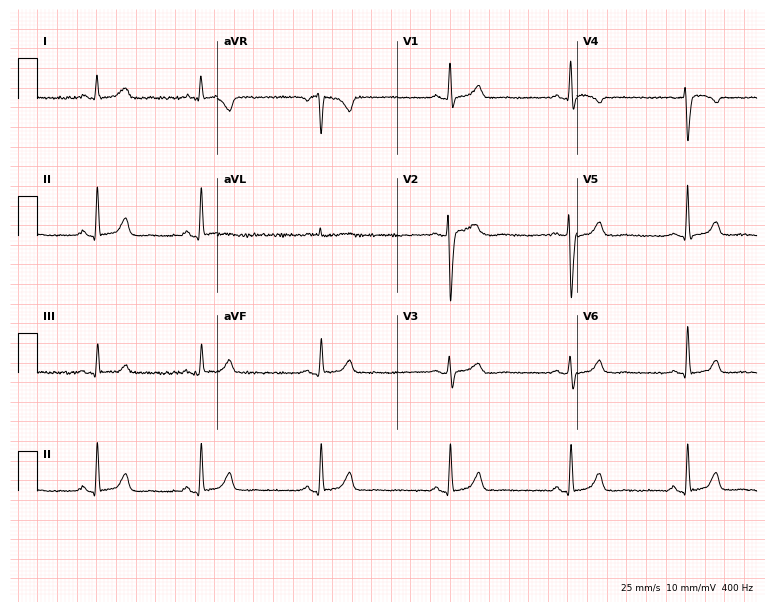
Electrocardiogram (7.3-second recording at 400 Hz), a 54-year-old woman. Overall reading on record: normal ECG.